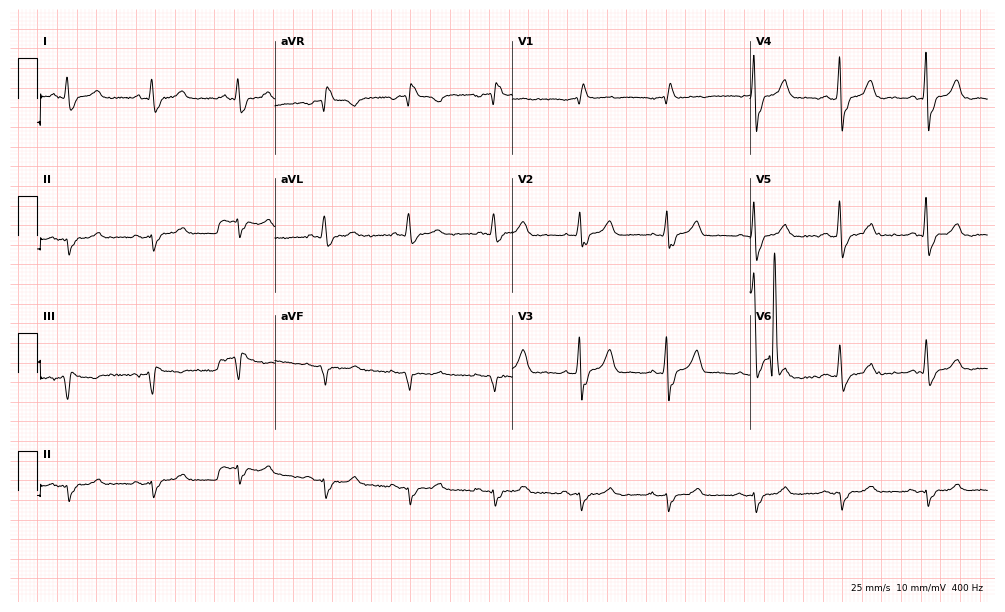
12-lead ECG from an 80-year-old man. No first-degree AV block, right bundle branch block, left bundle branch block, sinus bradycardia, atrial fibrillation or sinus tachycardia recorded for this tracing. Only these six findings were labelled.